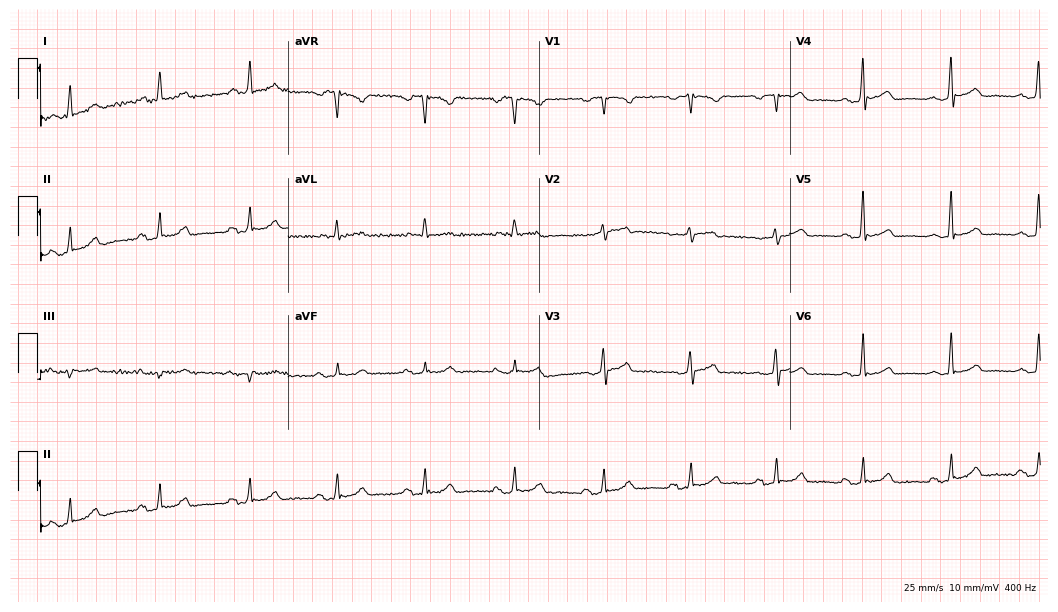
Electrocardiogram, a female patient, 73 years old. Of the six screened findings (first-degree AV block, right bundle branch block, left bundle branch block, sinus bradycardia, atrial fibrillation, sinus tachycardia), none is recorded. Findings outside these six are not listed.